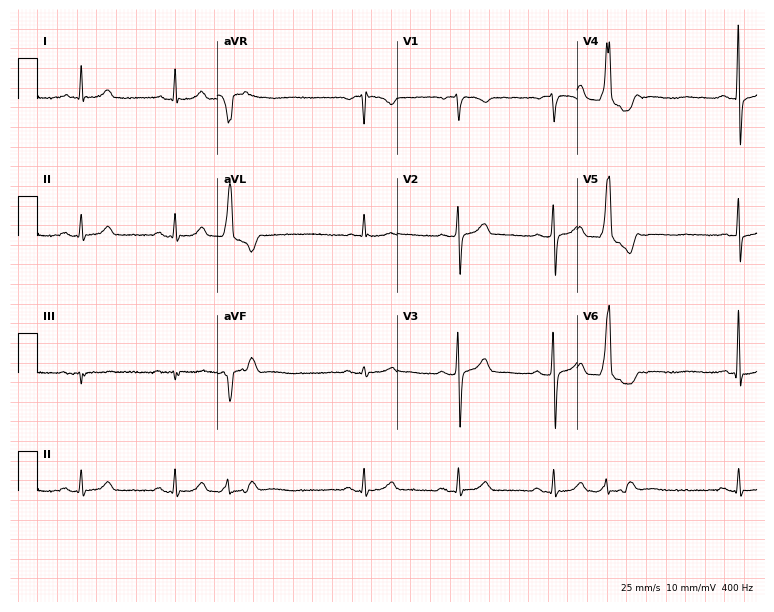
Standard 12-lead ECG recorded from a 76-year-old male. None of these six findings is recorded: first-degree AV block, right bundle branch block, left bundle branch block, sinus bradycardia, atrial fibrillation, sinus tachycardia.